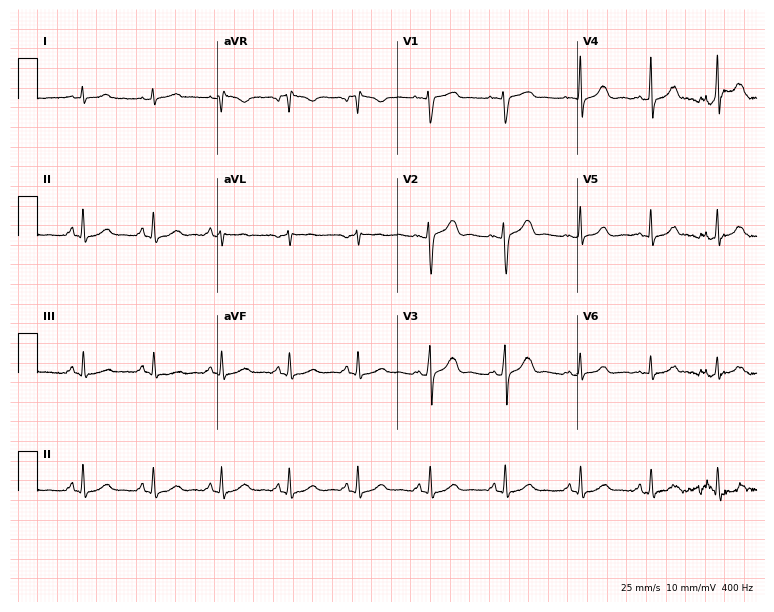
Resting 12-lead electrocardiogram (7.3-second recording at 400 Hz). Patient: a female, 34 years old. Read as a normal ECG.